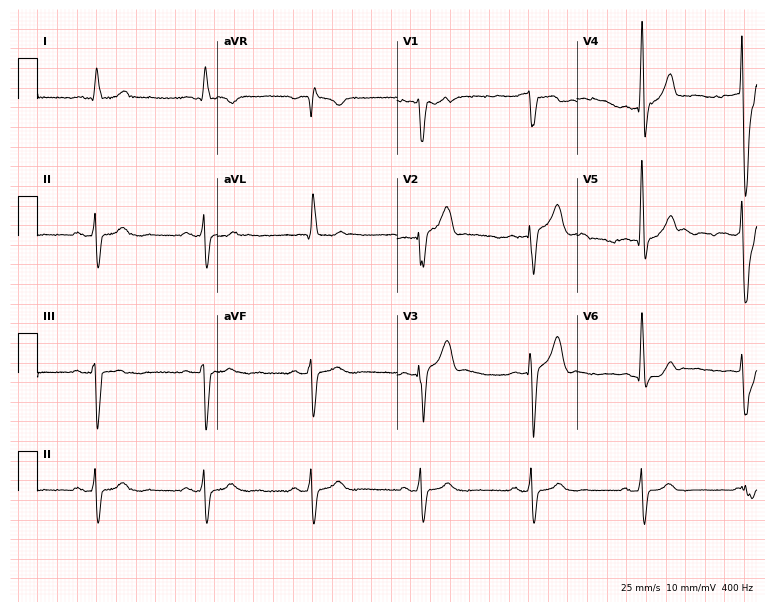
12-lead ECG from an 81-year-old man. Screened for six findings — first-degree AV block, right bundle branch block, left bundle branch block, sinus bradycardia, atrial fibrillation, sinus tachycardia — none is recorded.